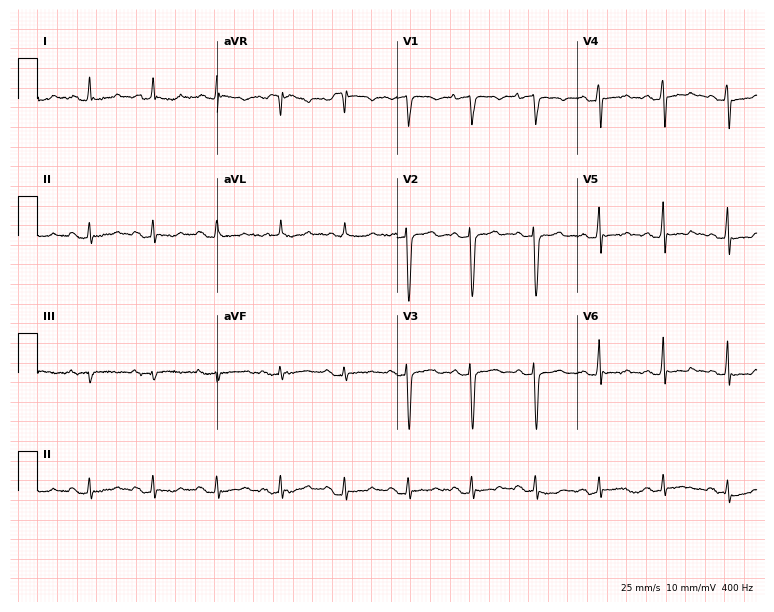
12-lead ECG (7.3-second recording at 400 Hz) from a woman, 70 years old. Screened for six findings — first-degree AV block, right bundle branch block, left bundle branch block, sinus bradycardia, atrial fibrillation, sinus tachycardia — none is recorded. Other findings, if any, are not listed.